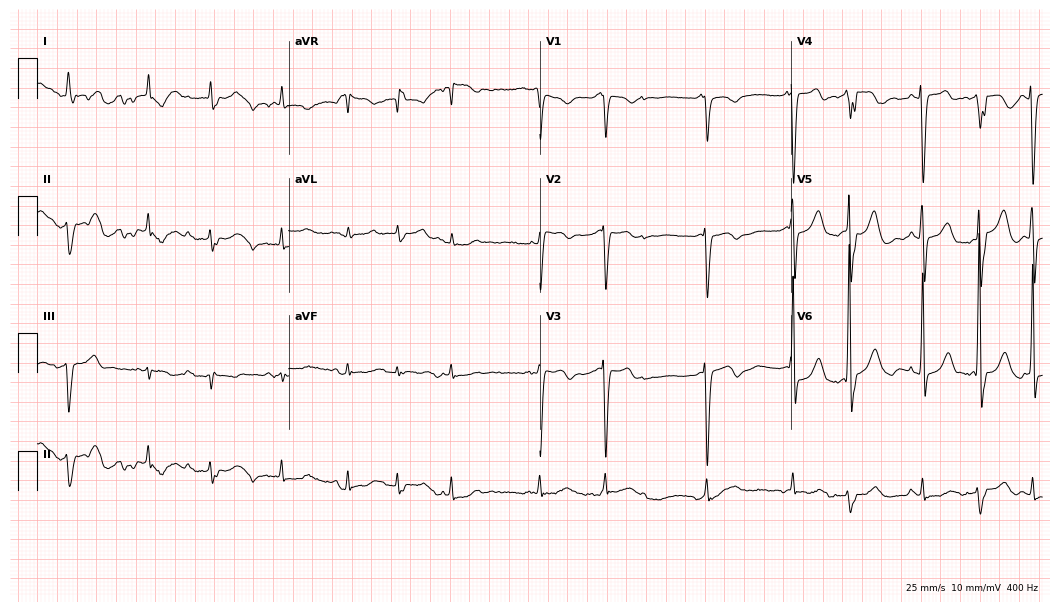
12-lead ECG (10.2-second recording at 400 Hz) from a man, 74 years old. Findings include atrial fibrillation.